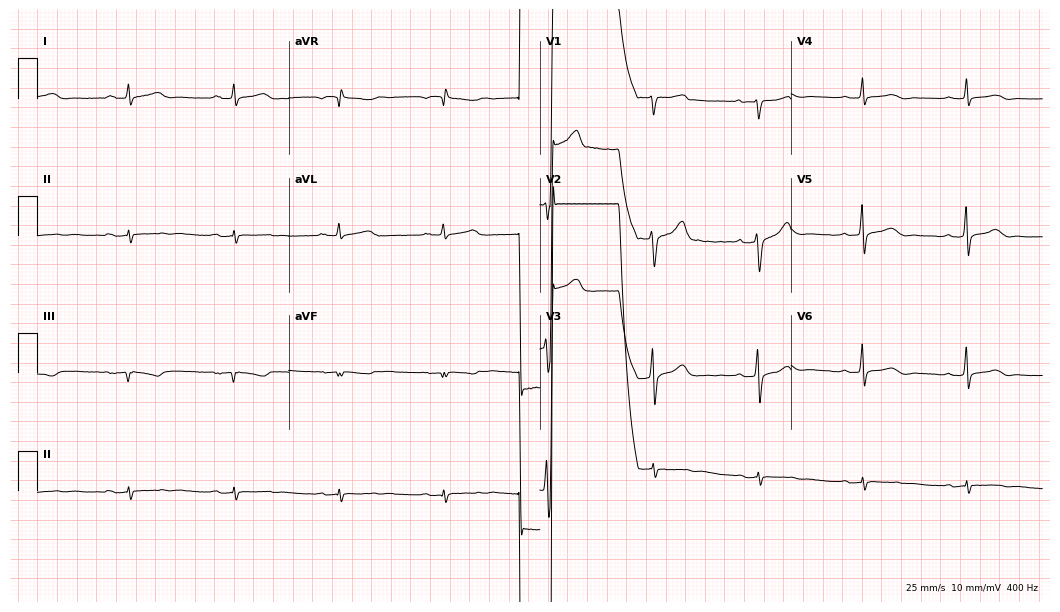
Resting 12-lead electrocardiogram. Patient: a 56-year-old man. The tracing shows first-degree AV block.